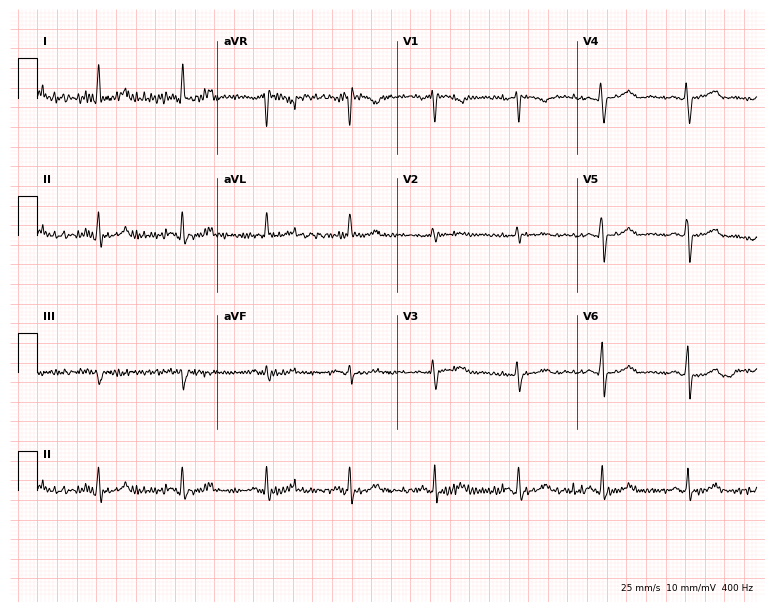
Electrocardiogram, a woman, 55 years old. Of the six screened findings (first-degree AV block, right bundle branch block (RBBB), left bundle branch block (LBBB), sinus bradycardia, atrial fibrillation (AF), sinus tachycardia), none is recorded. Only these six findings were labelled.